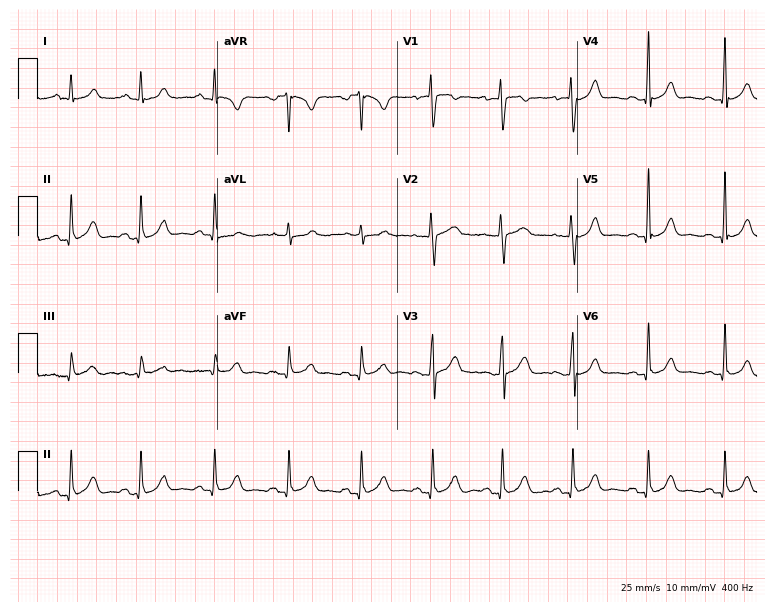
Electrocardiogram (7.3-second recording at 400 Hz), a female, 25 years old. Overall reading on record: normal ECG.